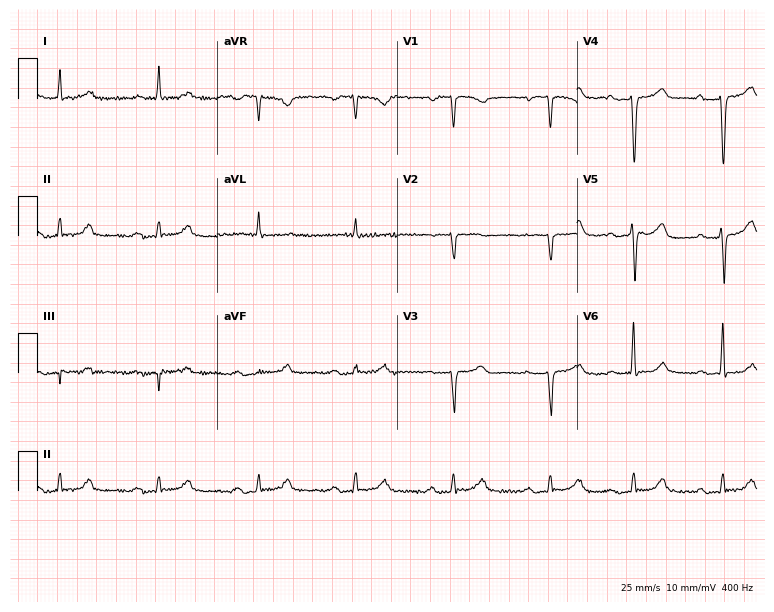
Standard 12-lead ECG recorded from a 61-year-old woman. The tracing shows first-degree AV block.